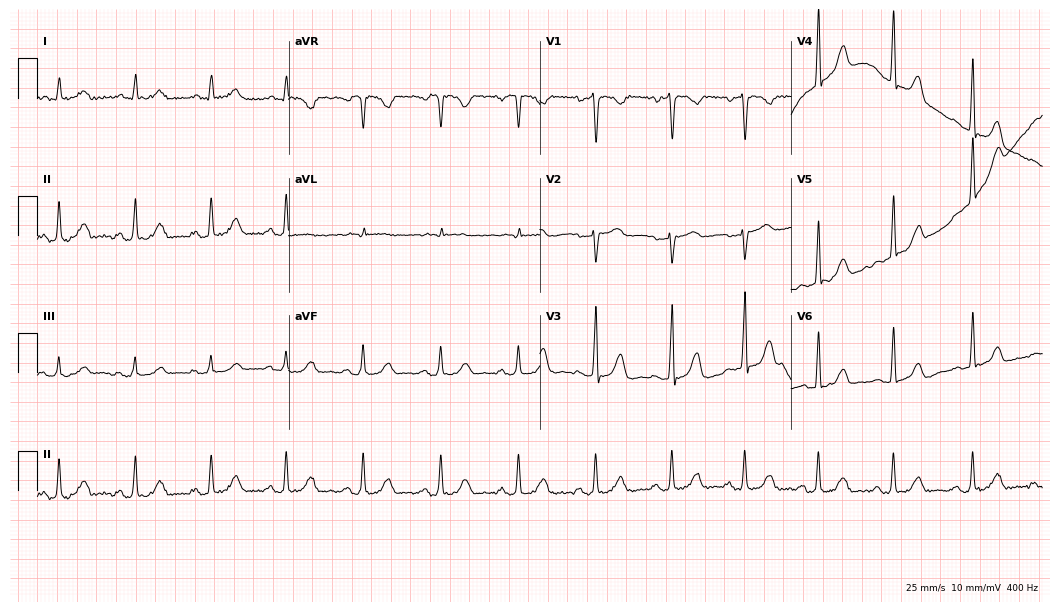
Electrocardiogram (10.2-second recording at 400 Hz), a 32-year-old female patient. Overall reading on record: normal ECG.